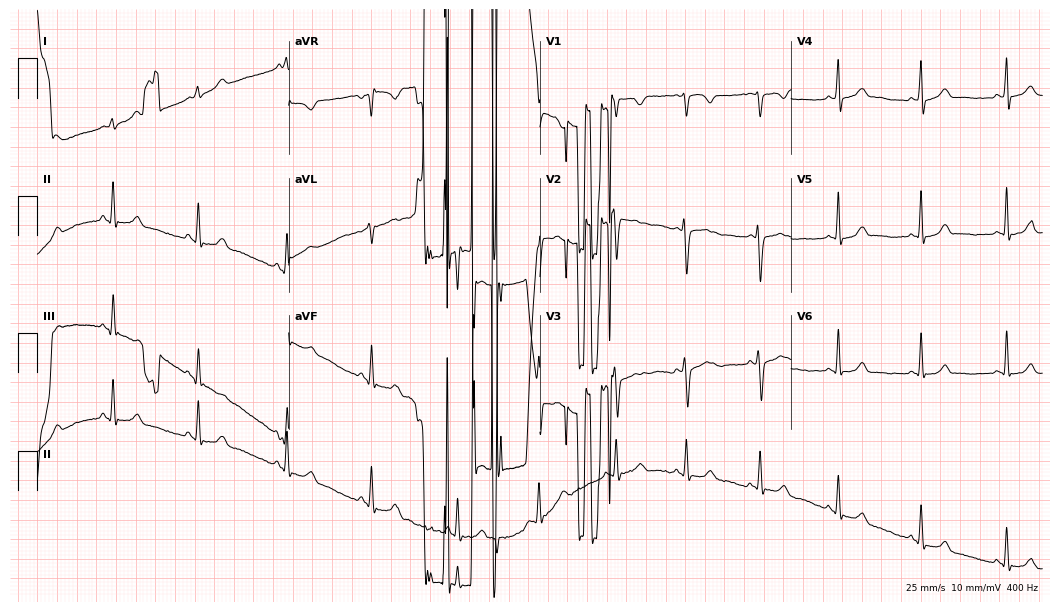
Resting 12-lead electrocardiogram (10.2-second recording at 400 Hz). Patient: a 28-year-old woman. None of these six findings is recorded: first-degree AV block, right bundle branch block, left bundle branch block, sinus bradycardia, atrial fibrillation, sinus tachycardia.